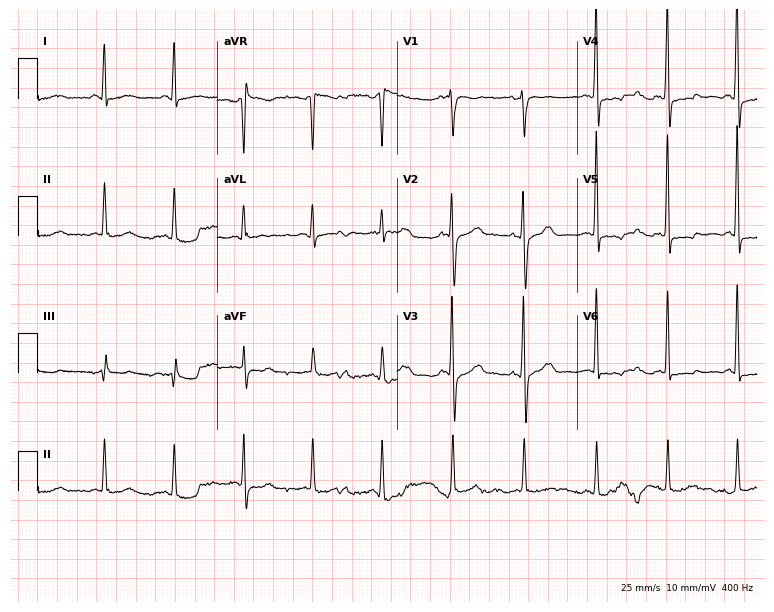
Standard 12-lead ECG recorded from a 55-year-old female patient (7.3-second recording at 400 Hz). None of these six findings is recorded: first-degree AV block, right bundle branch block, left bundle branch block, sinus bradycardia, atrial fibrillation, sinus tachycardia.